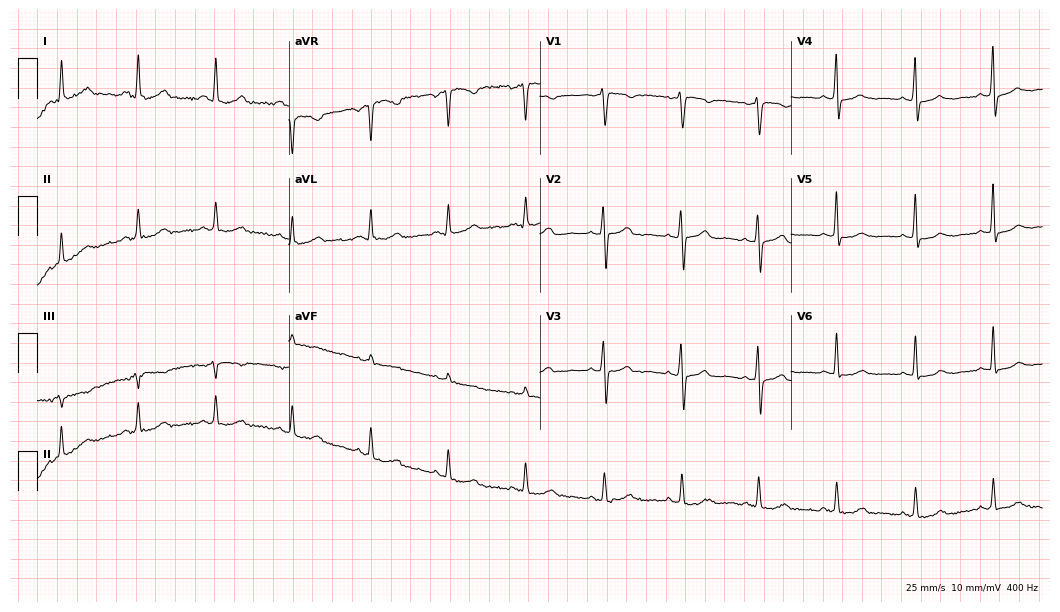
Resting 12-lead electrocardiogram. Patient: a 41-year-old female. None of these six findings is recorded: first-degree AV block, right bundle branch block, left bundle branch block, sinus bradycardia, atrial fibrillation, sinus tachycardia. Findings outside these six are not listed.